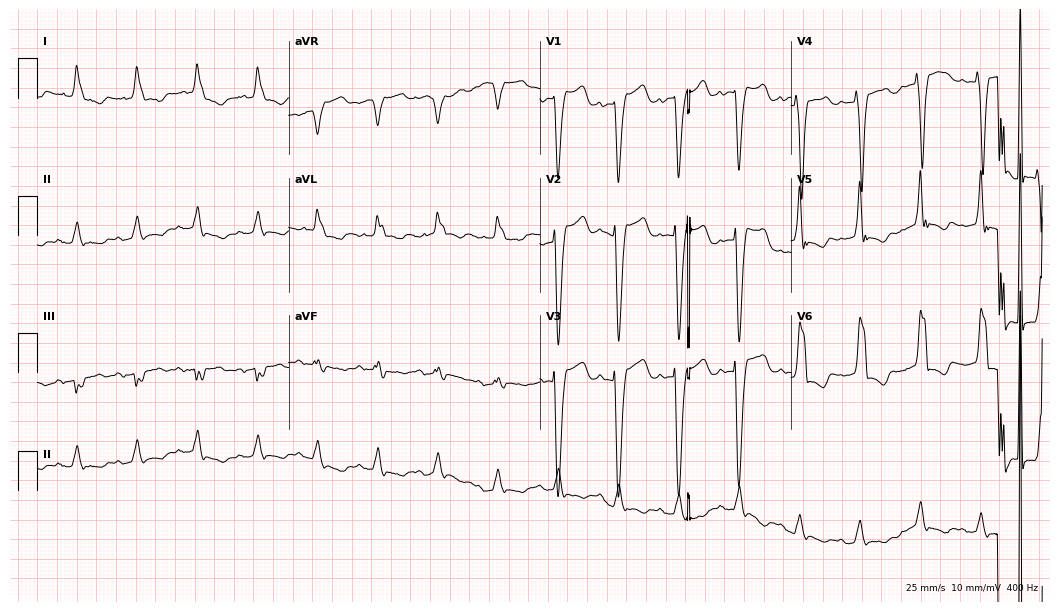
12-lead ECG (10.2-second recording at 400 Hz) from an 85-year-old woman. Findings include left bundle branch block.